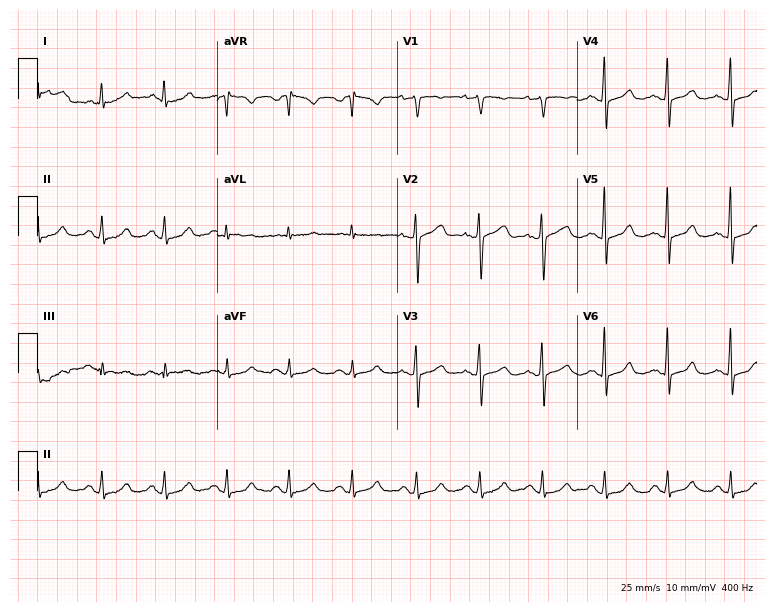
12-lead ECG from a female patient, 64 years old (7.3-second recording at 400 Hz). No first-degree AV block, right bundle branch block, left bundle branch block, sinus bradycardia, atrial fibrillation or sinus tachycardia recorded for this tracing.